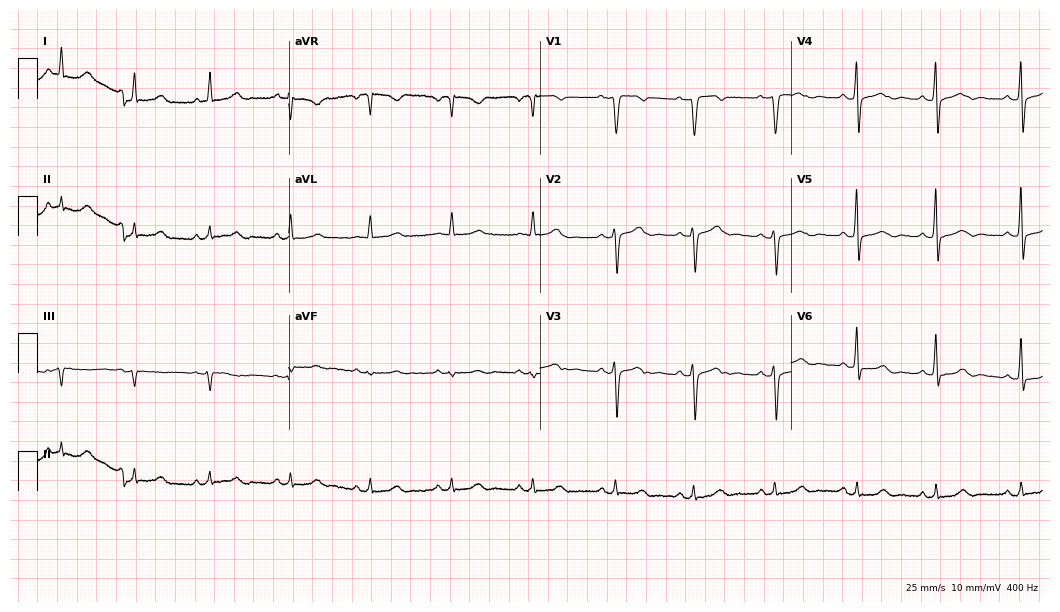
12-lead ECG (10.2-second recording at 400 Hz) from a 60-year-old female patient. Screened for six findings — first-degree AV block, right bundle branch block, left bundle branch block, sinus bradycardia, atrial fibrillation, sinus tachycardia — none is recorded. Other findings, if any, are not listed.